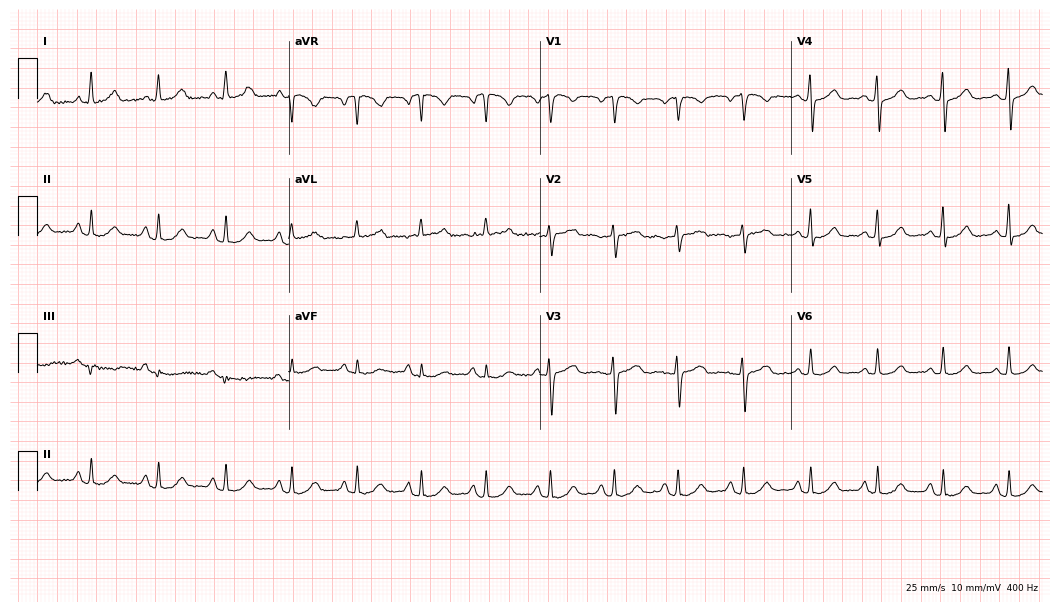
12-lead ECG from a female patient, 45 years old. Recorded interpretation: within normal limits.